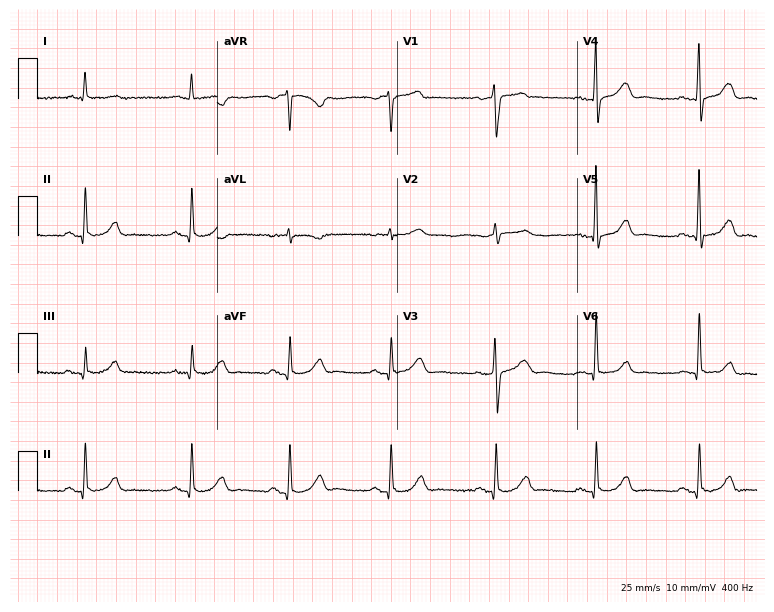
ECG — a male patient, 84 years old. Labelled as a normal ECG.